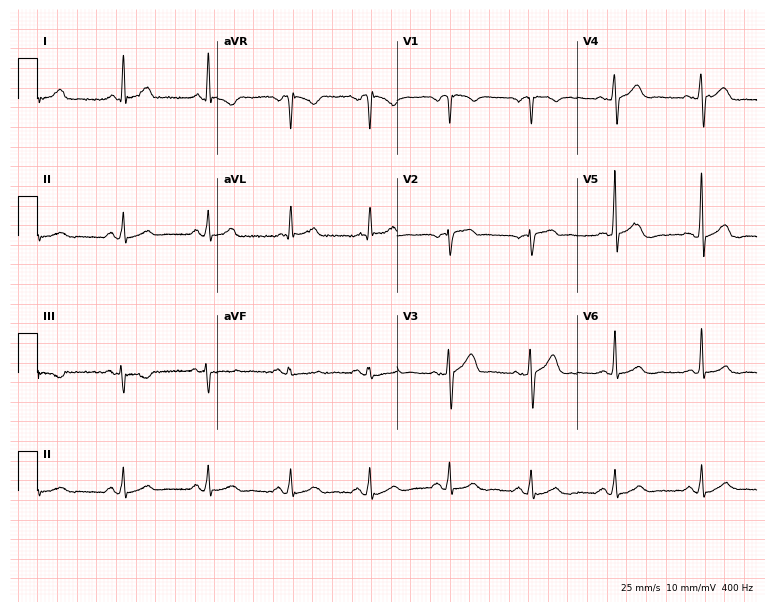
Electrocardiogram, a 52-year-old male. Overall reading on record: normal ECG.